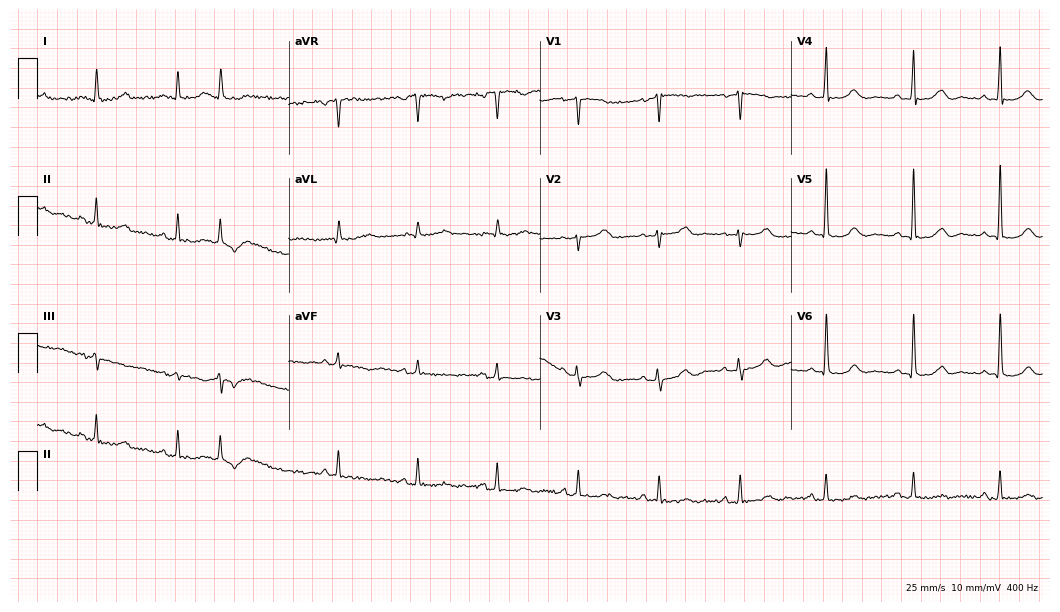
Resting 12-lead electrocardiogram (10.2-second recording at 400 Hz). Patient: a 59-year-old female. None of these six findings is recorded: first-degree AV block, right bundle branch block, left bundle branch block, sinus bradycardia, atrial fibrillation, sinus tachycardia. Findings outside these six are not listed.